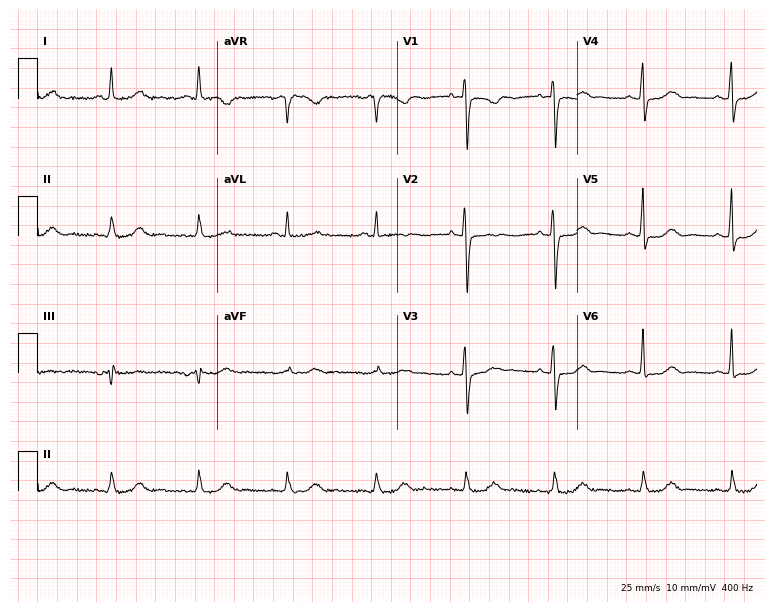
Standard 12-lead ECG recorded from a 74-year-old female patient. Read as a normal ECG.